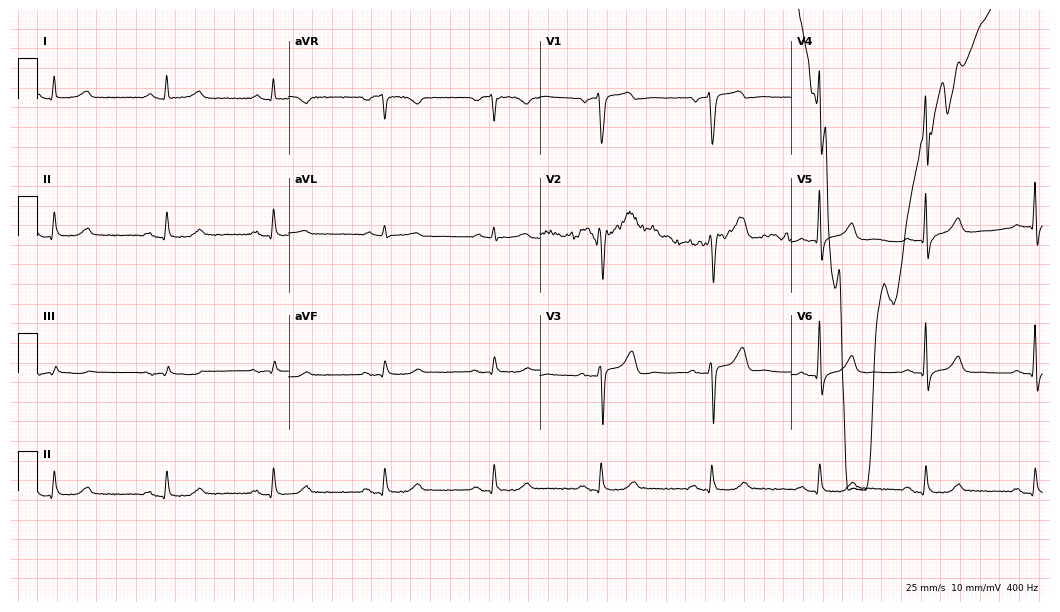
Electrocardiogram (10.2-second recording at 400 Hz), a 71-year-old male patient. Of the six screened findings (first-degree AV block, right bundle branch block, left bundle branch block, sinus bradycardia, atrial fibrillation, sinus tachycardia), none is recorded.